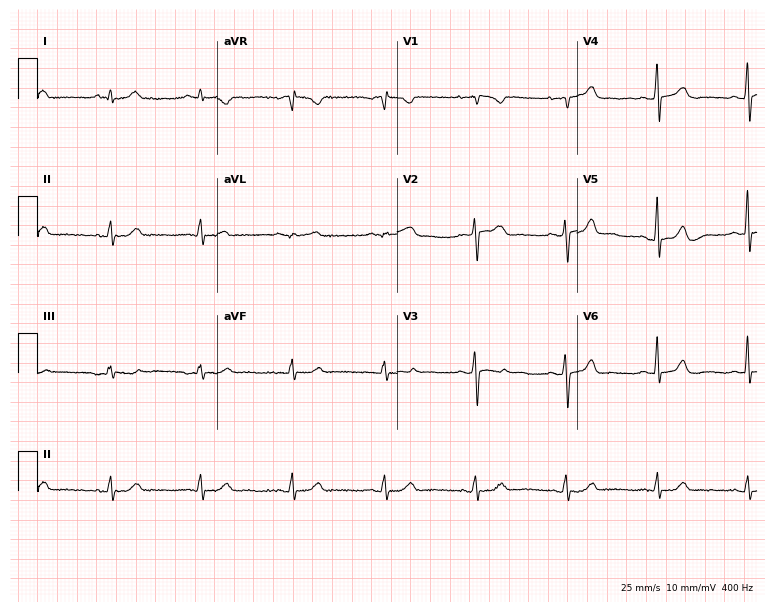
ECG — a 41-year-old female. Screened for six findings — first-degree AV block, right bundle branch block, left bundle branch block, sinus bradycardia, atrial fibrillation, sinus tachycardia — none is recorded.